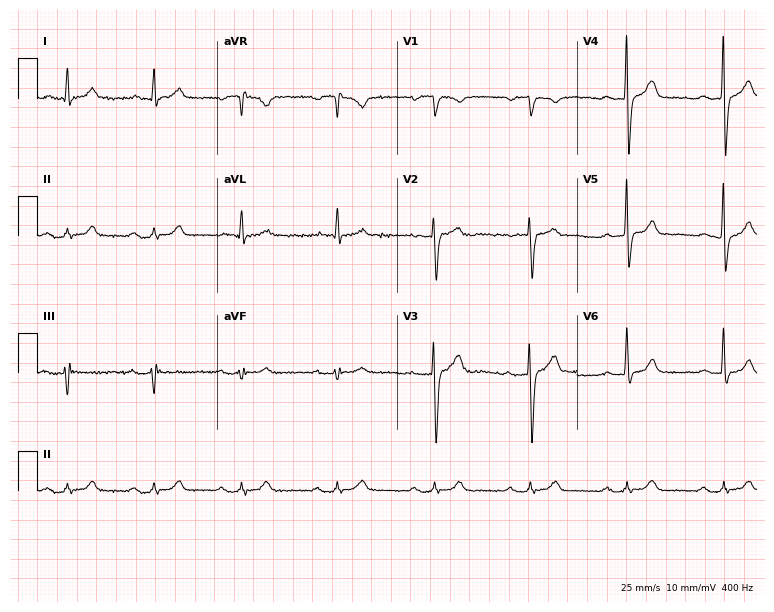
ECG — a 63-year-old man. Findings include first-degree AV block.